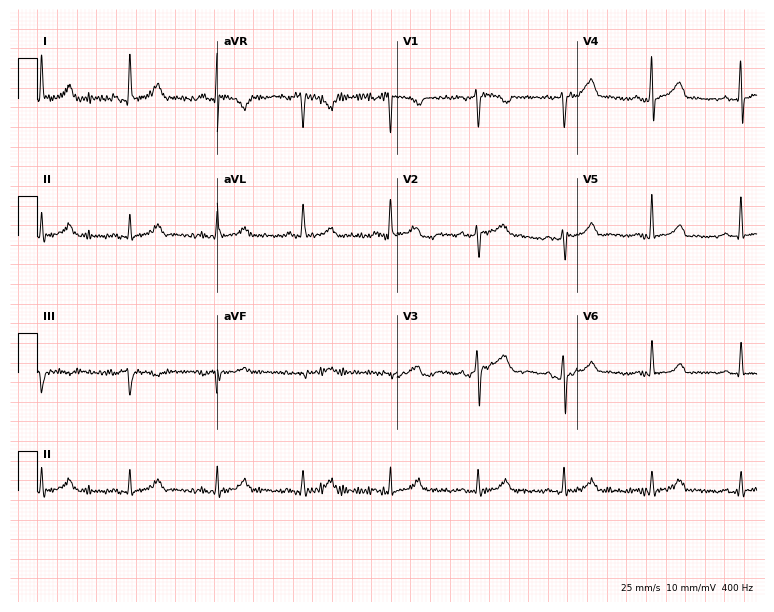
Electrocardiogram, a man, 63 years old. Overall reading on record: normal ECG.